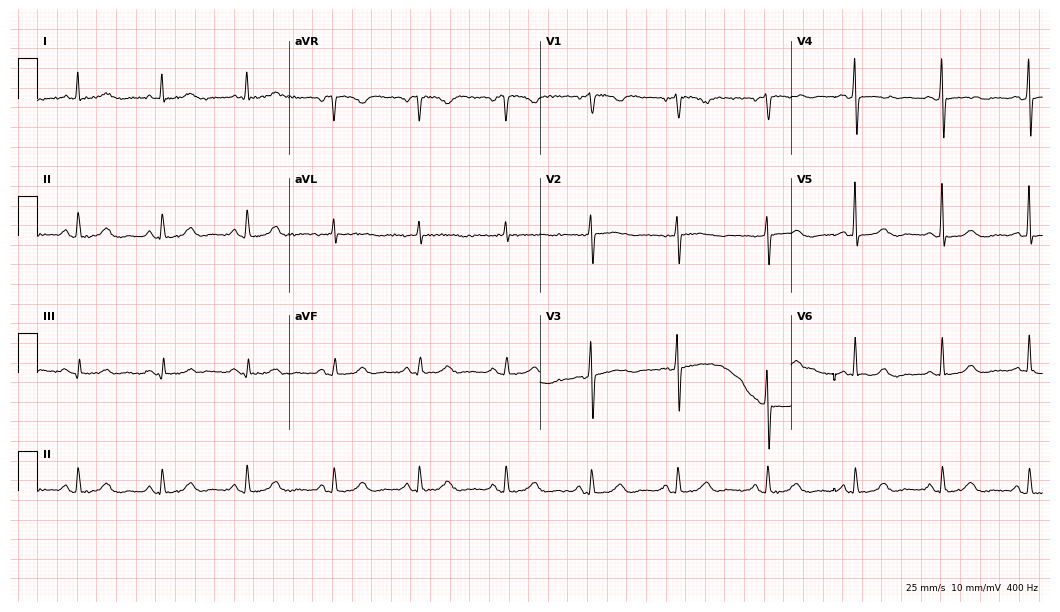
Standard 12-lead ECG recorded from a 66-year-old woman. None of these six findings is recorded: first-degree AV block, right bundle branch block, left bundle branch block, sinus bradycardia, atrial fibrillation, sinus tachycardia. Findings outside these six are not listed.